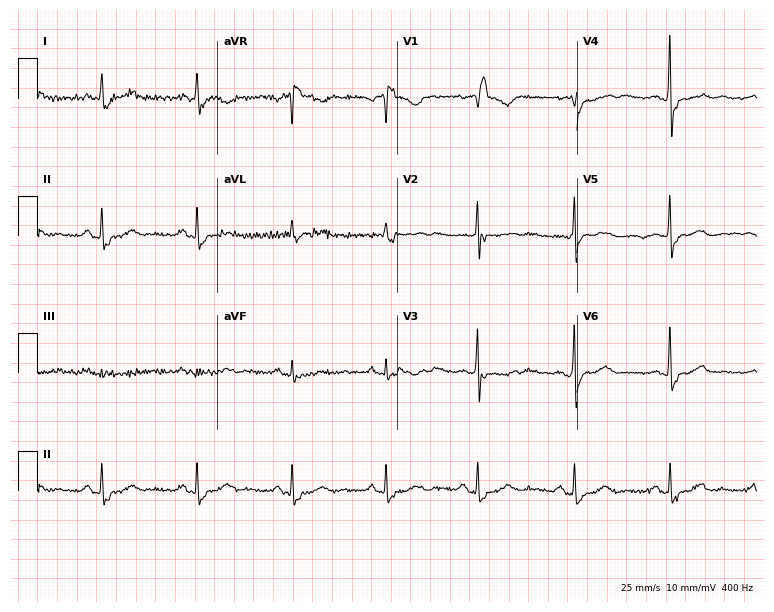
Resting 12-lead electrocardiogram (7.3-second recording at 400 Hz). Patient: a female, 64 years old. The tracing shows right bundle branch block.